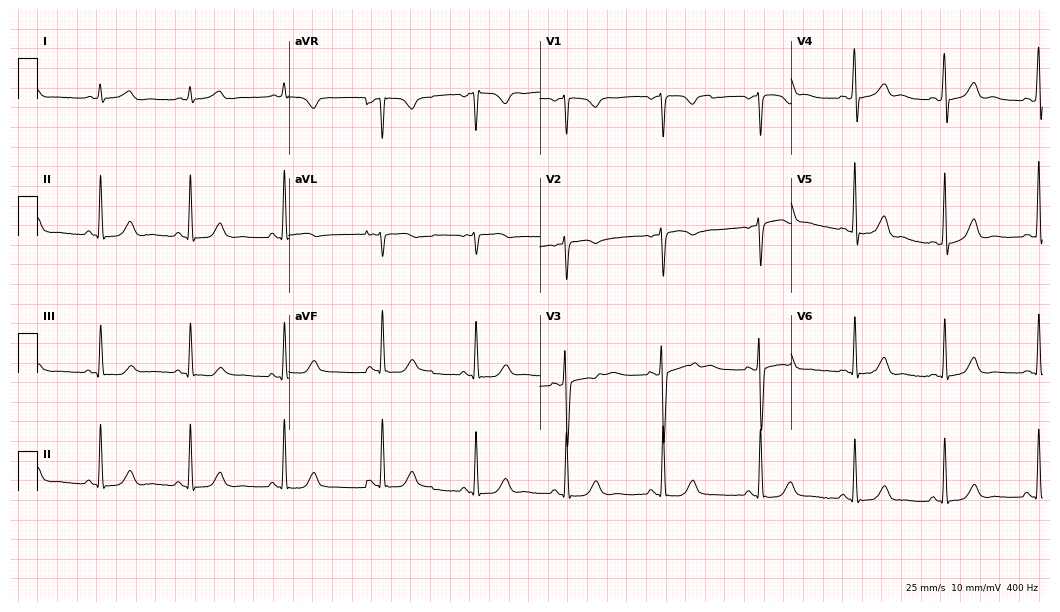
Resting 12-lead electrocardiogram. Patient: a 53-year-old female. None of these six findings is recorded: first-degree AV block, right bundle branch block, left bundle branch block, sinus bradycardia, atrial fibrillation, sinus tachycardia.